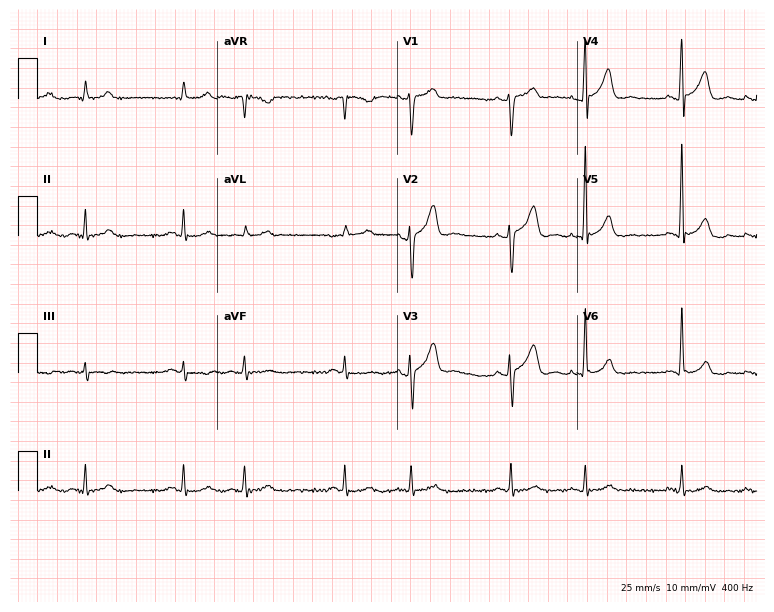
Electrocardiogram (7.3-second recording at 400 Hz), an 82-year-old male. Overall reading on record: normal ECG.